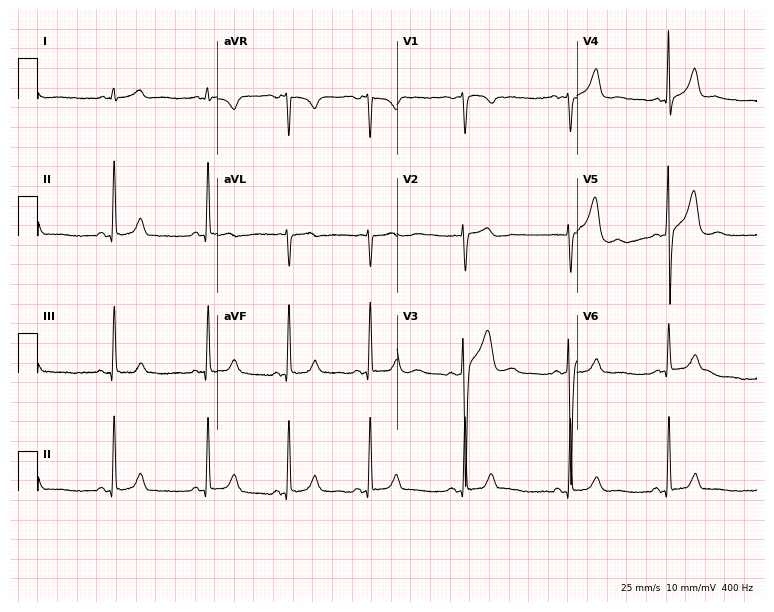
ECG (7.3-second recording at 400 Hz) — a male patient, 36 years old. Screened for six findings — first-degree AV block, right bundle branch block, left bundle branch block, sinus bradycardia, atrial fibrillation, sinus tachycardia — none is recorded. Other findings, if any, are not listed.